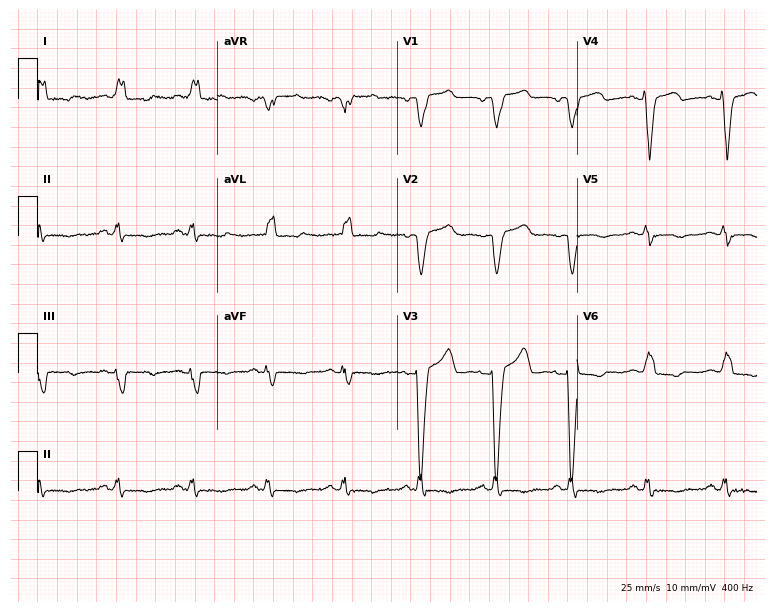
Resting 12-lead electrocardiogram (7.3-second recording at 400 Hz). Patient: a female, 77 years old. The tracing shows left bundle branch block (LBBB).